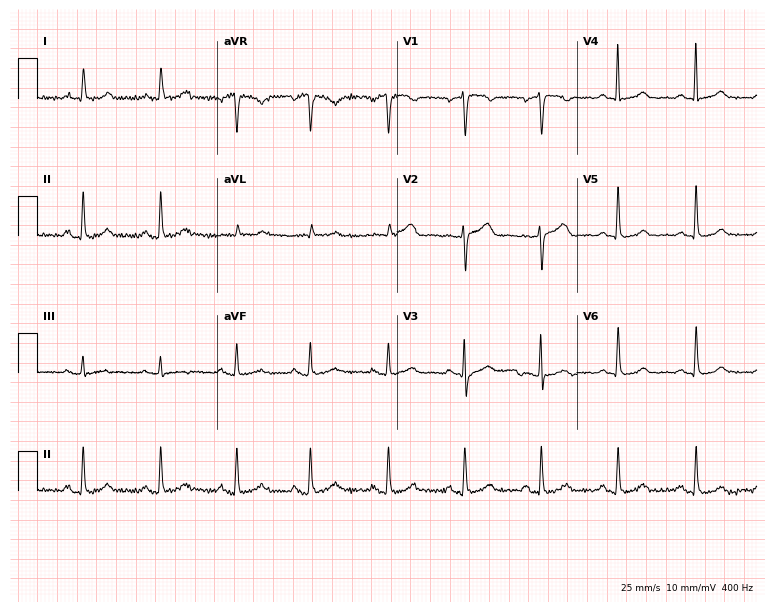
Standard 12-lead ECG recorded from a 39-year-old female. Read as a normal ECG.